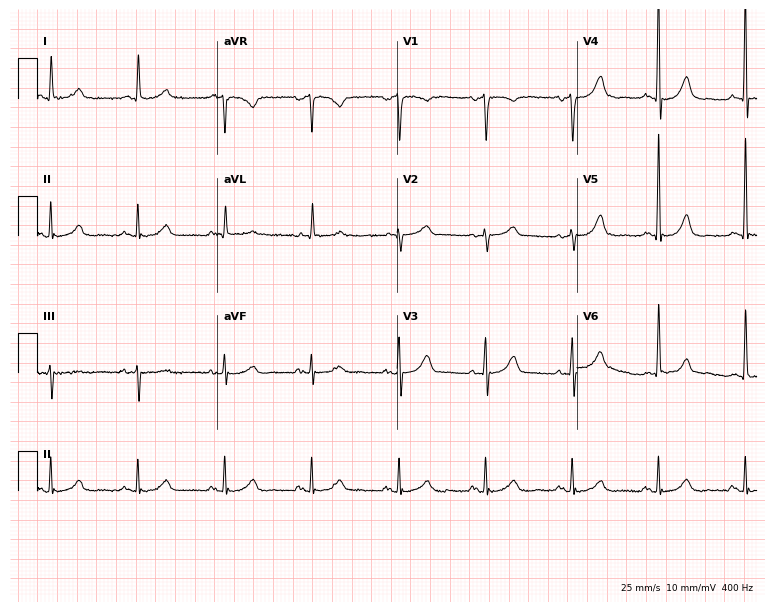
ECG — a woman, 77 years old. Labelled as a normal ECG.